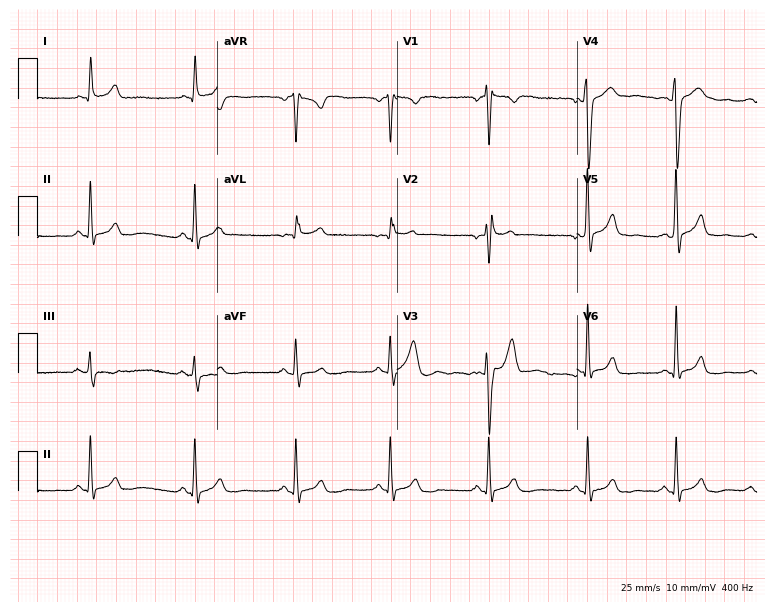
ECG (7.3-second recording at 400 Hz) — a 20-year-old male. Labelled as a normal ECG.